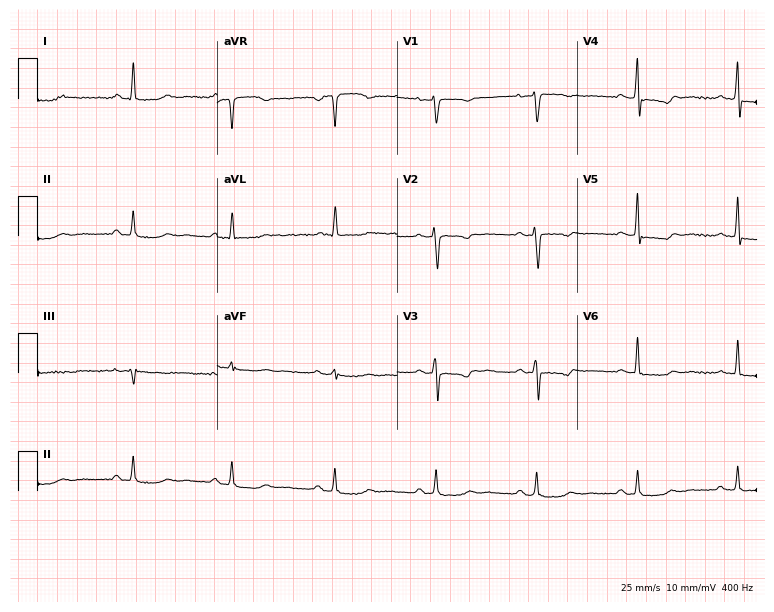
Electrocardiogram, a 61-year-old female patient. Of the six screened findings (first-degree AV block, right bundle branch block, left bundle branch block, sinus bradycardia, atrial fibrillation, sinus tachycardia), none is recorded. Findings outside these six are not listed.